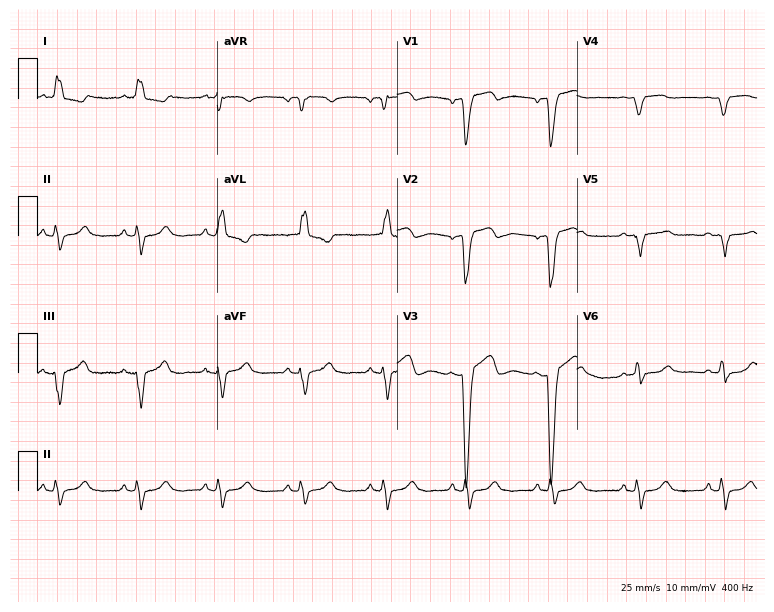
12-lead ECG from a 51-year-old female. Screened for six findings — first-degree AV block, right bundle branch block, left bundle branch block, sinus bradycardia, atrial fibrillation, sinus tachycardia — none is recorded.